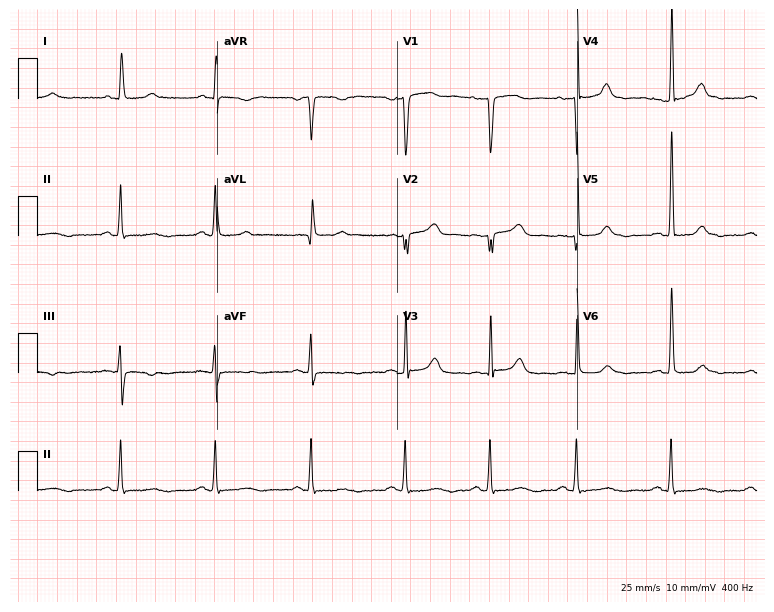
ECG — a 71-year-old female. Screened for six findings — first-degree AV block, right bundle branch block, left bundle branch block, sinus bradycardia, atrial fibrillation, sinus tachycardia — none is recorded. Only these six findings were labelled.